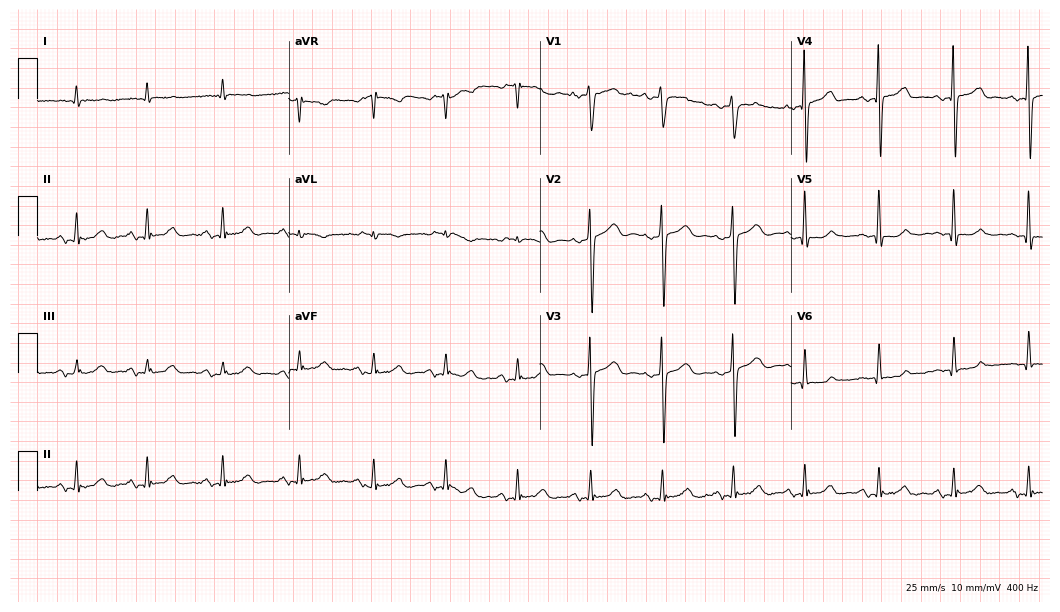
Standard 12-lead ECG recorded from a man, 73 years old. Read as a normal ECG.